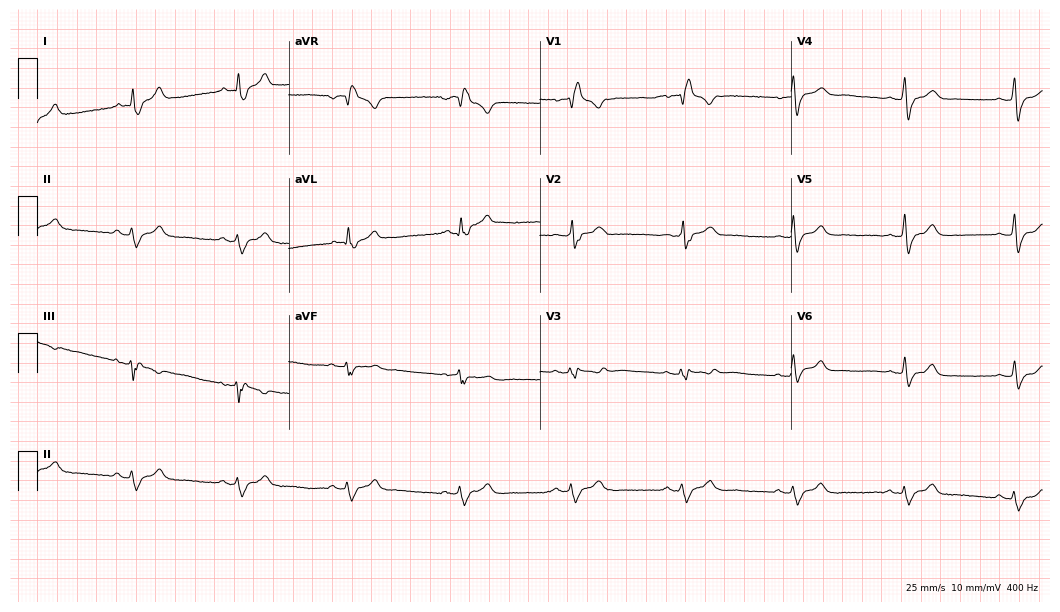
12-lead ECG from a woman, 61 years old. Screened for six findings — first-degree AV block, right bundle branch block (RBBB), left bundle branch block (LBBB), sinus bradycardia, atrial fibrillation (AF), sinus tachycardia — none is recorded. Other findings, if any, are not listed.